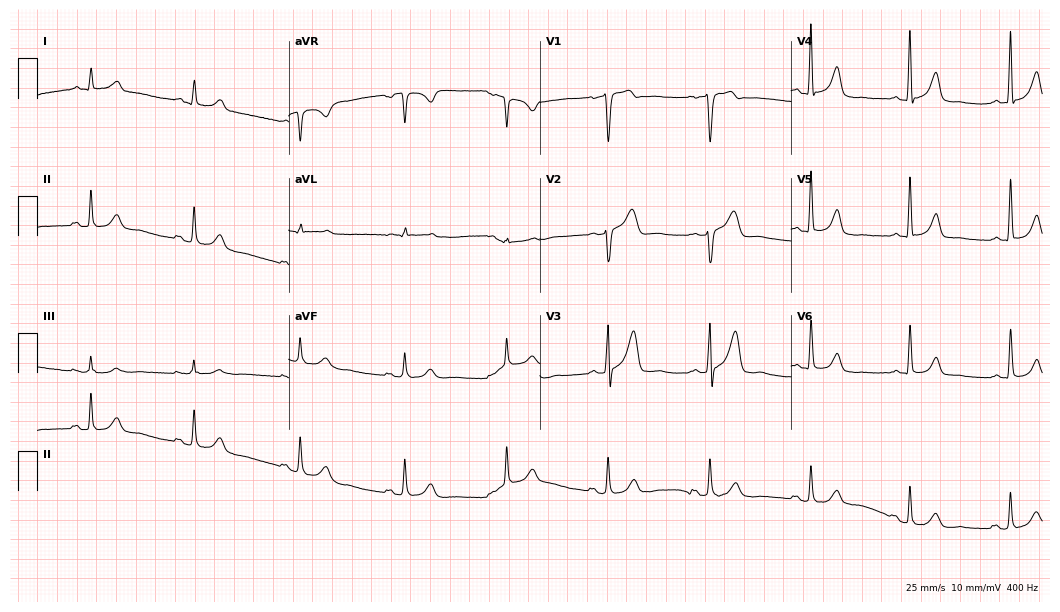
12-lead ECG from a 51-year-old male. Labelled as a normal ECG.